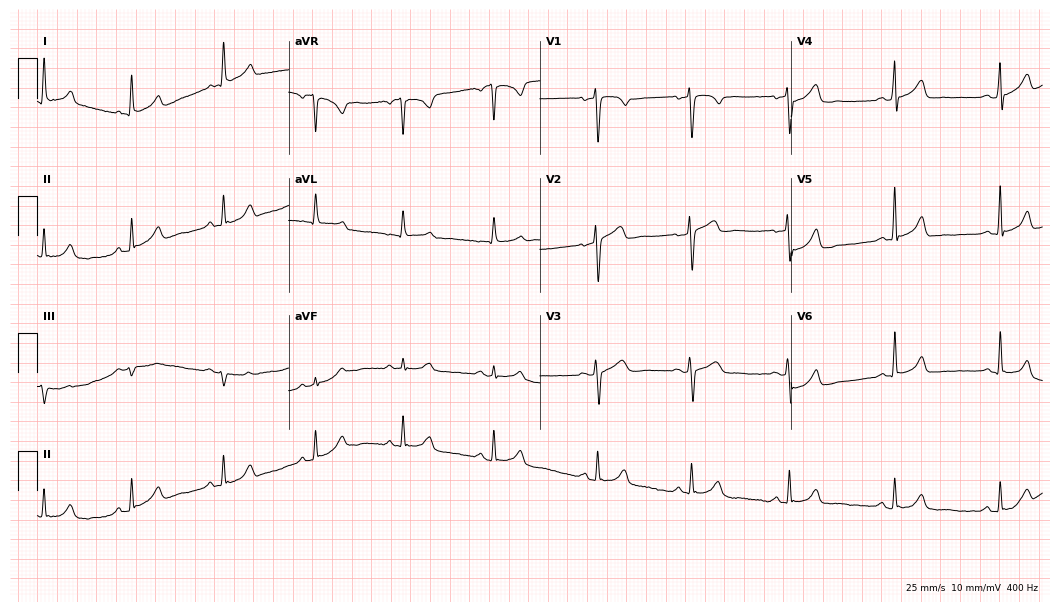
12-lead ECG from a 52-year-old female (10.2-second recording at 400 Hz). No first-degree AV block, right bundle branch block (RBBB), left bundle branch block (LBBB), sinus bradycardia, atrial fibrillation (AF) or sinus tachycardia recorded for this tracing. Other findings, if any, are not listed.